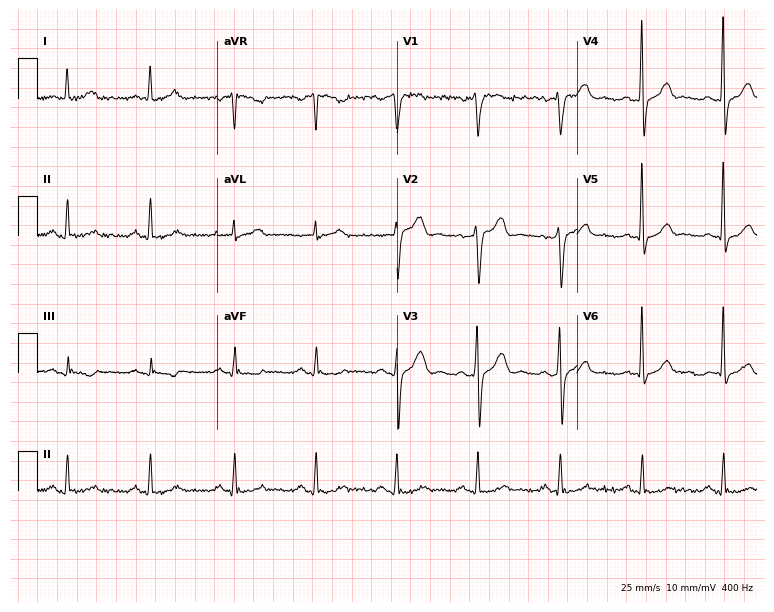
Resting 12-lead electrocardiogram. Patient: a male, 45 years old. Read as a normal ECG.